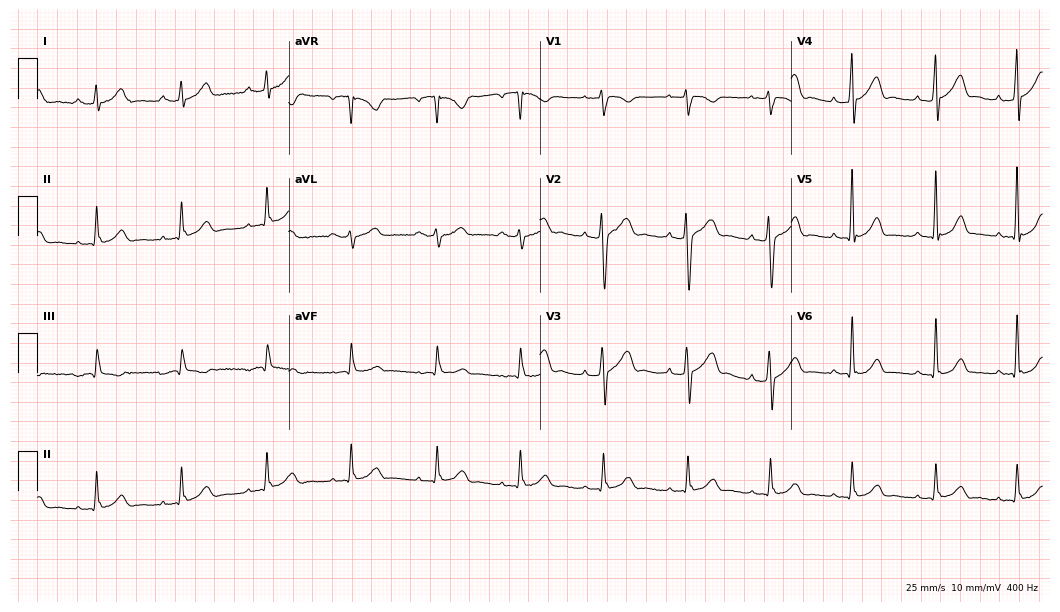
12-lead ECG from a 40-year-old man. Labelled as a normal ECG.